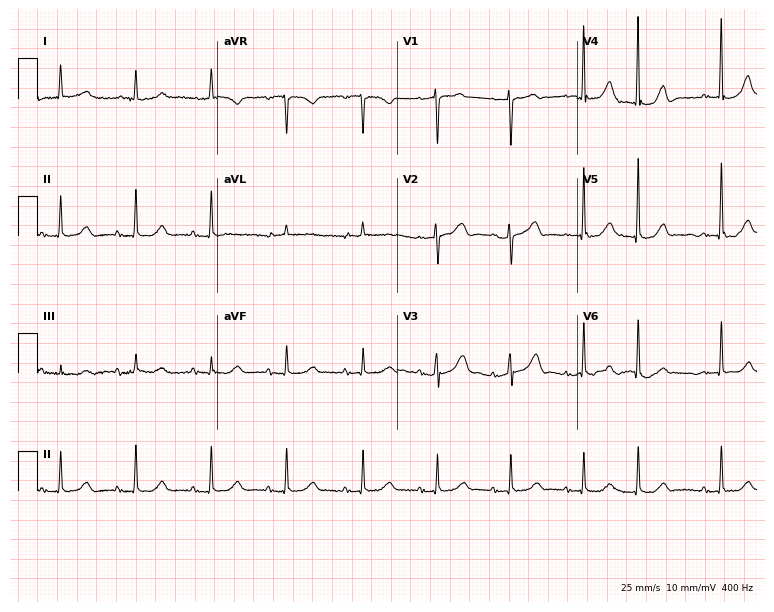
12-lead ECG from a female, 73 years old. Screened for six findings — first-degree AV block, right bundle branch block, left bundle branch block, sinus bradycardia, atrial fibrillation, sinus tachycardia — none is recorded.